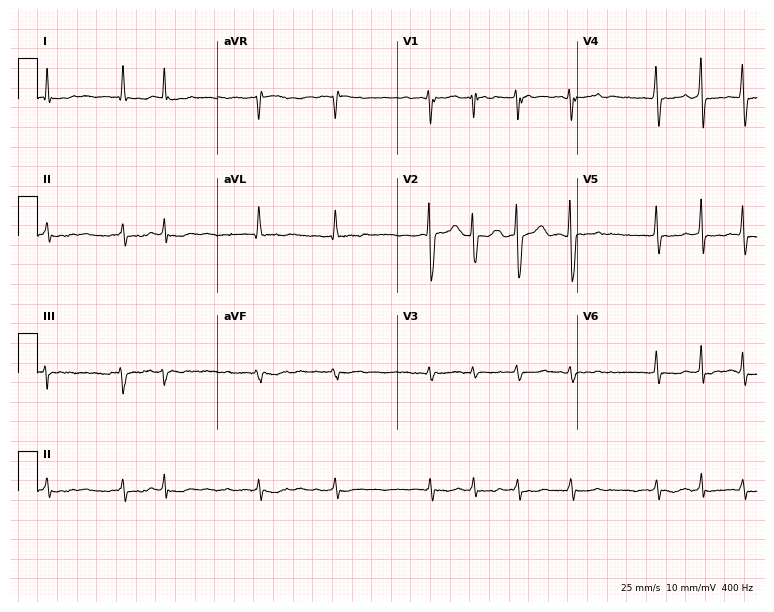
12-lead ECG from a male patient, 69 years old. Shows atrial fibrillation (AF).